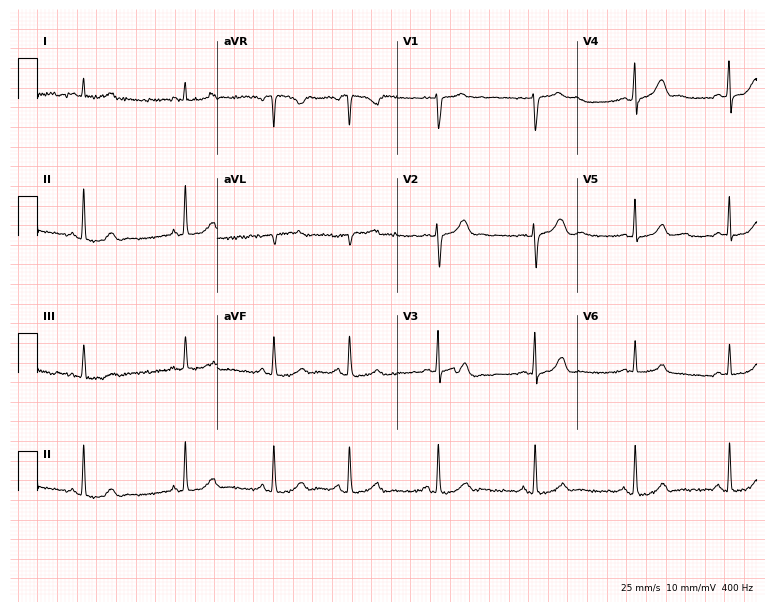
12-lead ECG from a 22-year-old female. Labelled as a normal ECG.